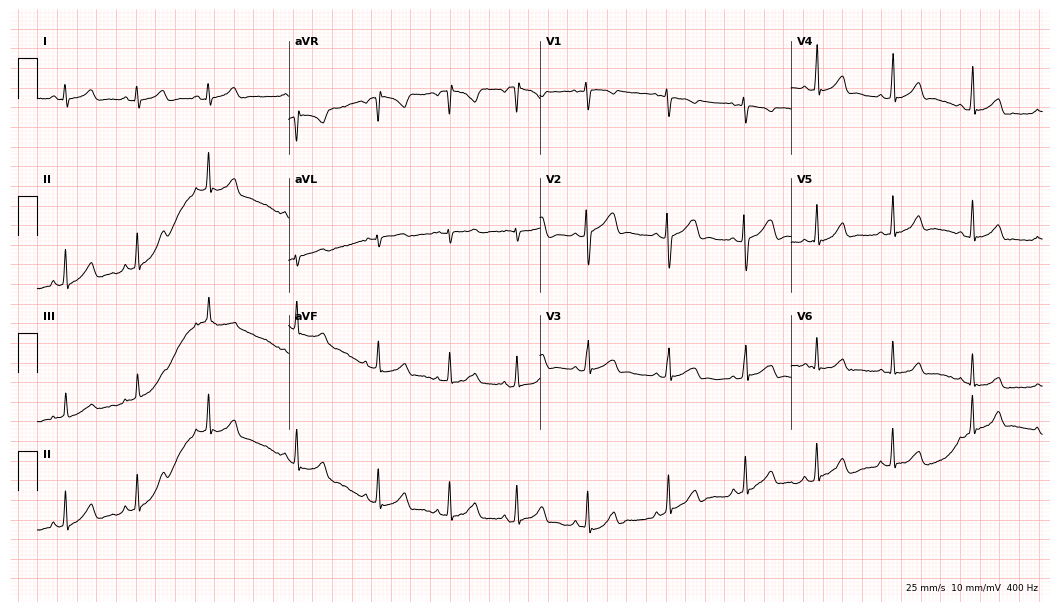
Resting 12-lead electrocardiogram. Patient: a female, 19 years old. Read as a normal ECG.